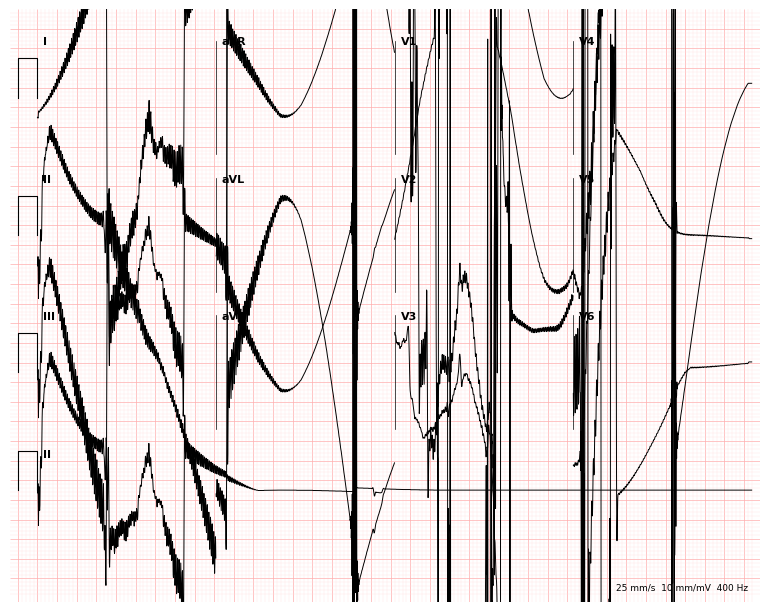
12-lead ECG from a female patient, 32 years old (7.3-second recording at 400 Hz). No first-degree AV block, right bundle branch block, left bundle branch block, sinus bradycardia, atrial fibrillation or sinus tachycardia recorded for this tracing.